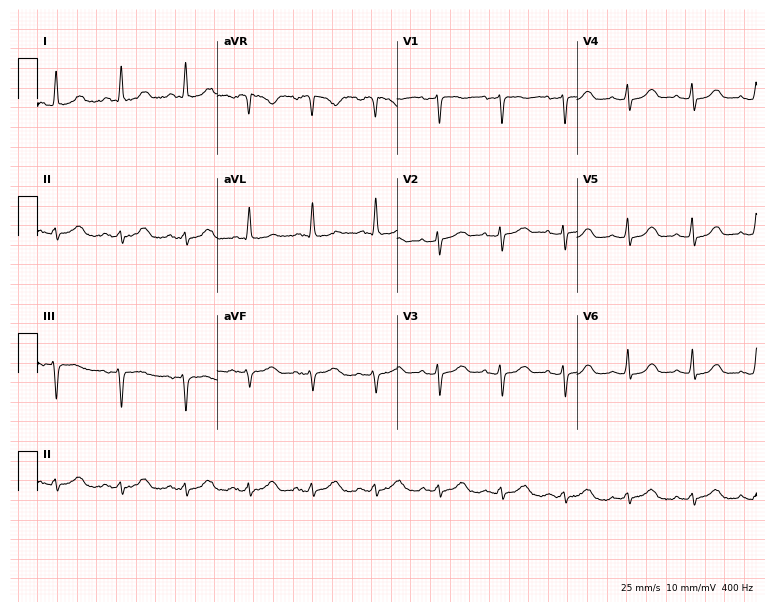
Resting 12-lead electrocardiogram. Patient: a woman, 75 years old. None of these six findings is recorded: first-degree AV block, right bundle branch block (RBBB), left bundle branch block (LBBB), sinus bradycardia, atrial fibrillation (AF), sinus tachycardia. Other findings, if any, are not listed.